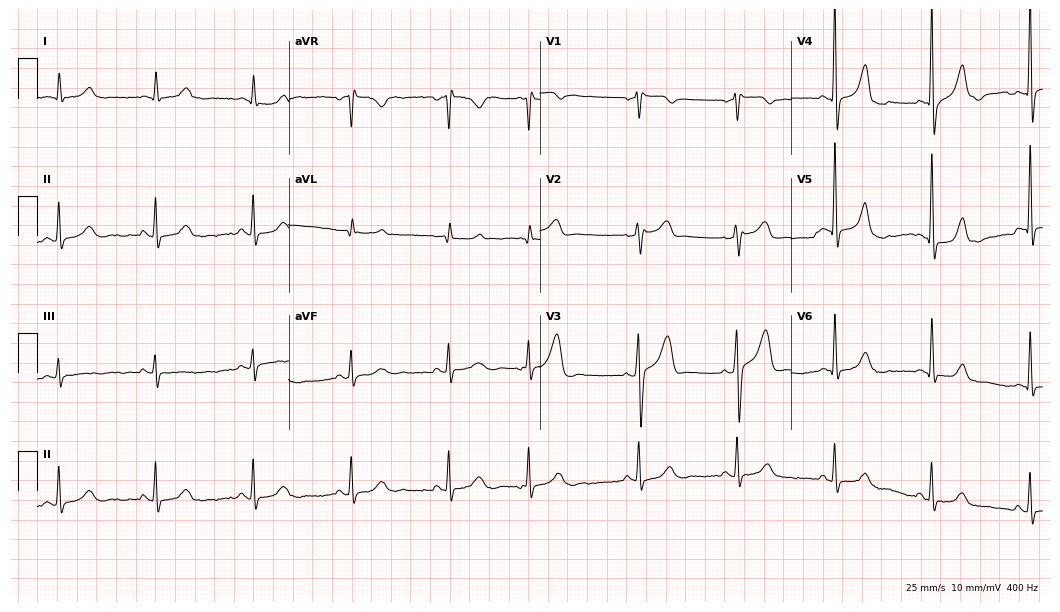
12-lead ECG from a man, 72 years old. No first-degree AV block, right bundle branch block (RBBB), left bundle branch block (LBBB), sinus bradycardia, atrial fibrillation (AF) or sinus tachycardia recorded for this tracing. Findings outside these six are not listed.